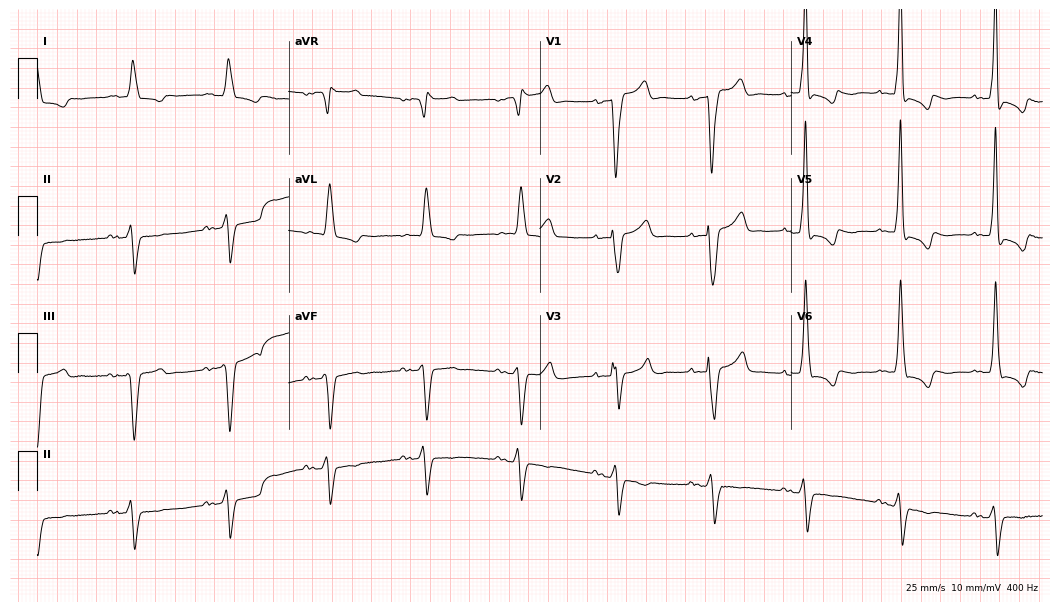
ECG — a man, 78 years old. Findings include left bundle branch block.